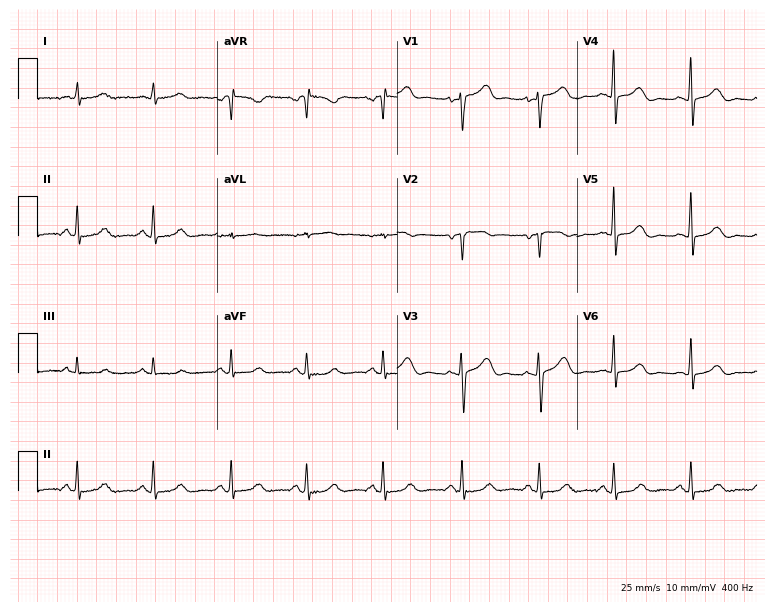
Standard 12-lead ECG recorded from a female patient, 67 years old (7.3-second recording at 400 Hz). None of these six findings is recorded: first-degree AV block, right bundle branch block (RBBB), left bundle branch block (LBBB), sinus bradycardia, atrial fibrillation (AF), sinus tachycardia. Other findings, if any, are not listed.